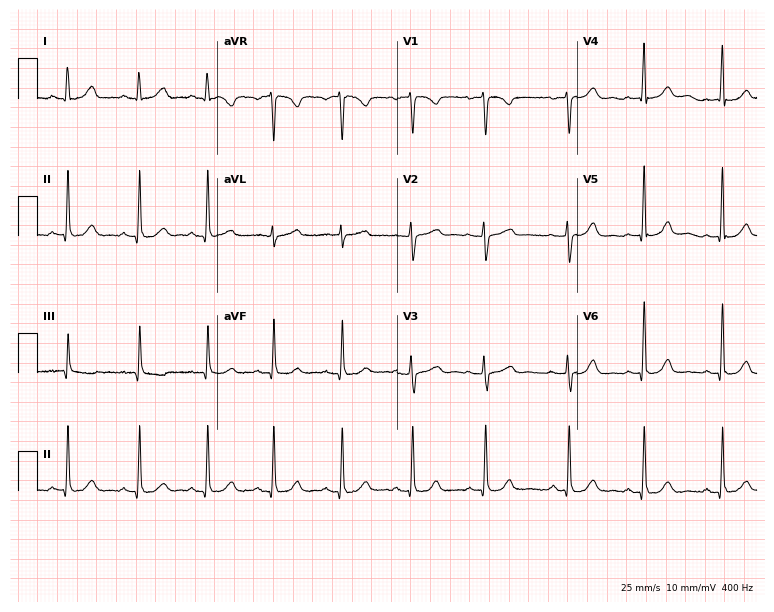
12-lead ECG (7.3-second recording at 400 Hz) from a 39-year-old female. Labelled as a normal ECG.